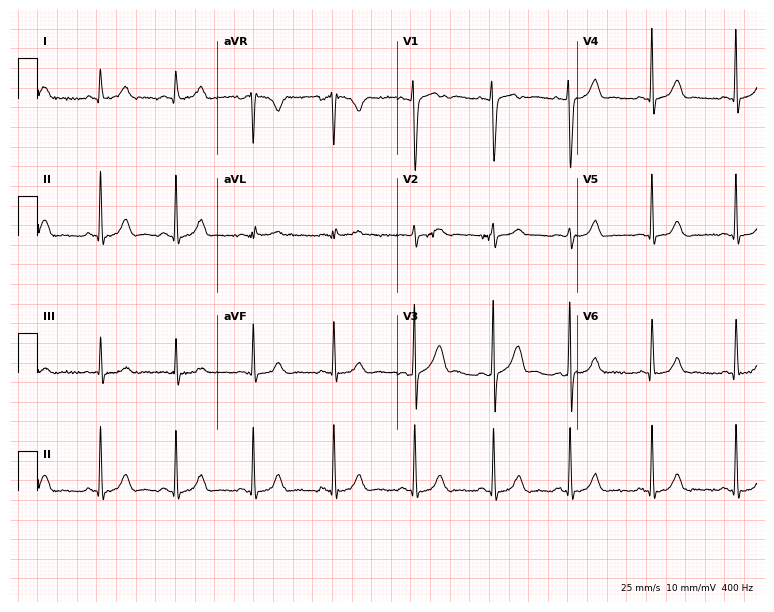
Electrocardiogram, a 27-year-old woman. Overall reading on record: normal ECG.